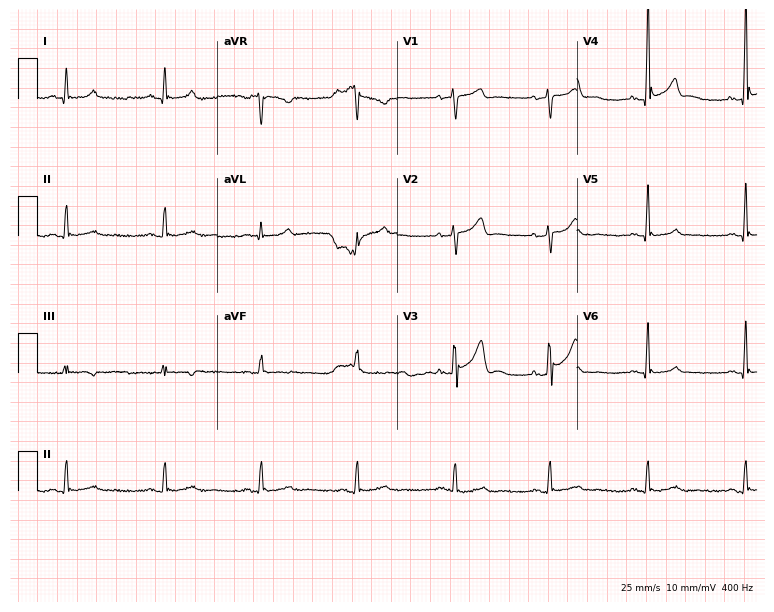
12-lead ECG from a 42-year-old male patient (7.3-second recording at 400 Hz). Recorded interpretation: within normal limits.